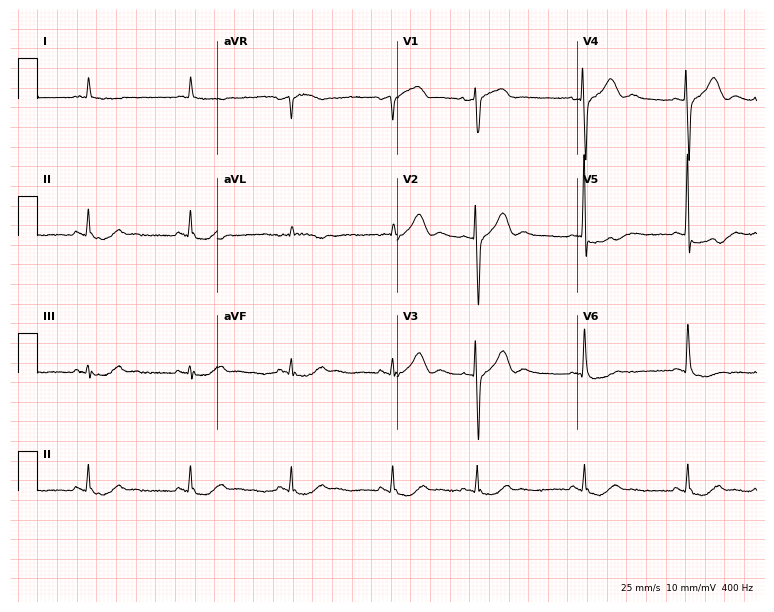
12-lead ECG from a man, 63 years old. Screened for six findings — first-degree AV block, right bundle branch block, left bundle branch block, sinus bradycardia, atrial fibrillation, sinus tachycardia — none is recorded. Other findings, if any, are not listed.